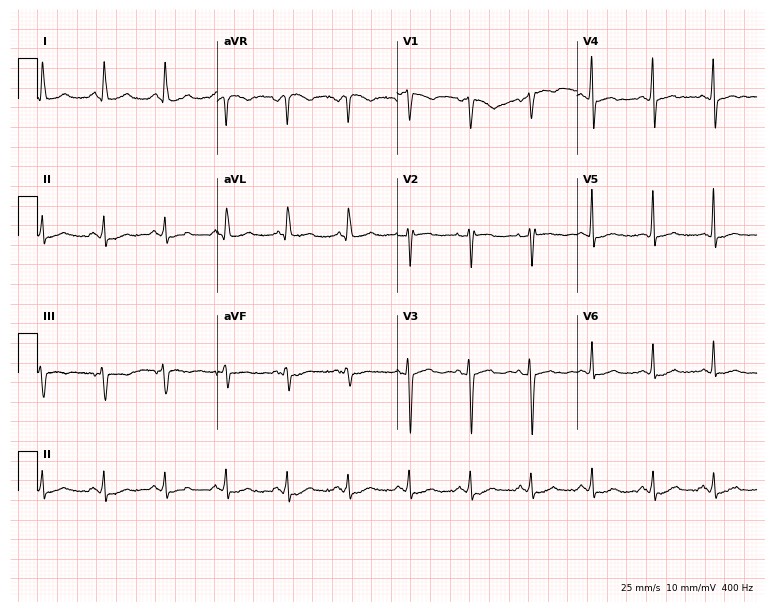
ECG — a woman, 84 years old. Screened for six findings — first-degree AV block, right bundle branch block, left bundle branch block, sinus bradycardia, atrial fibrillation, sinus tachycardia — none is recorded.